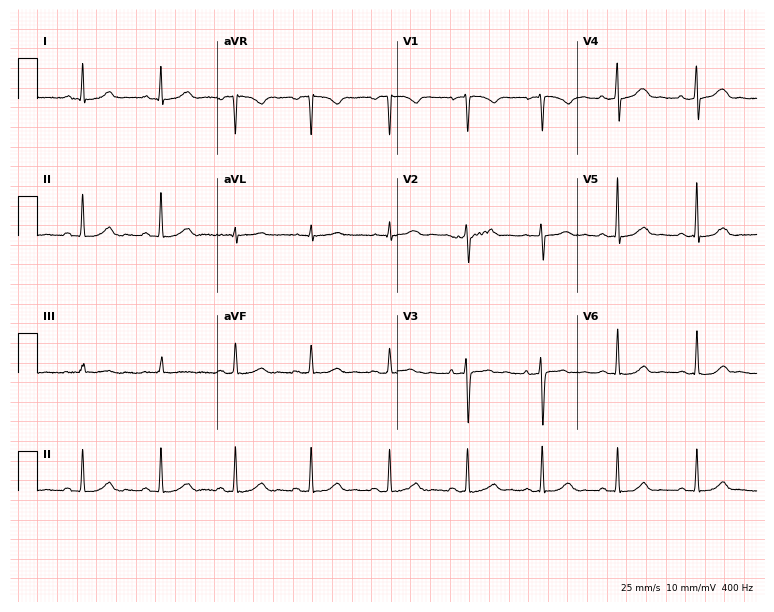
12-lead ECG from a female, 30 years old (7.3-second recording at 400 Hz). Recorded interpretation: within normal limits.